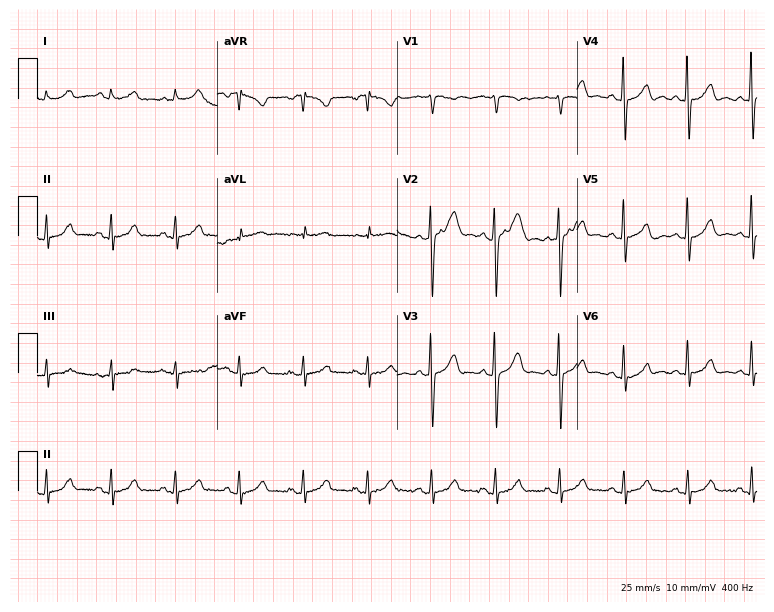
Standard 12-lead ECG recorded from a 69-year-old male (7.3-second recording at 400 Hz). Read as a normal ECG.